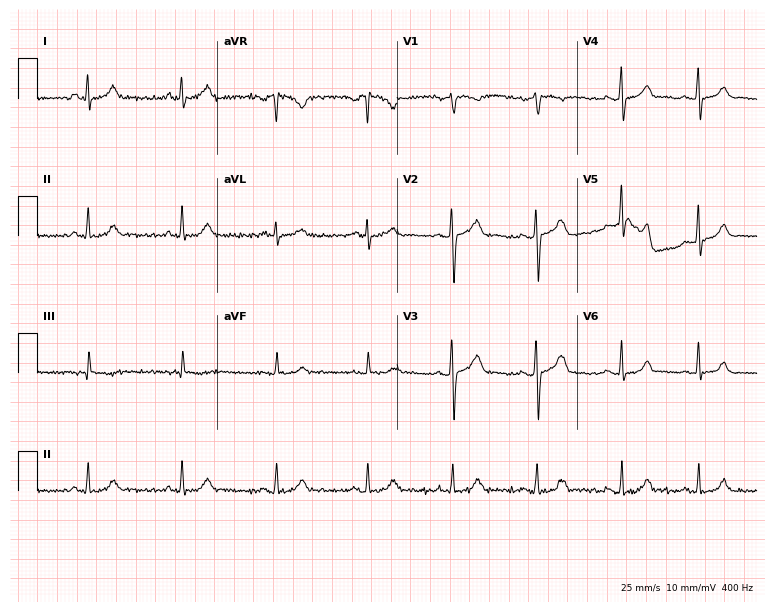
Electrocardiogram (7.3-second recording at 400 Hz), a female, 42 years old. Overall reading on record: normal ECG.